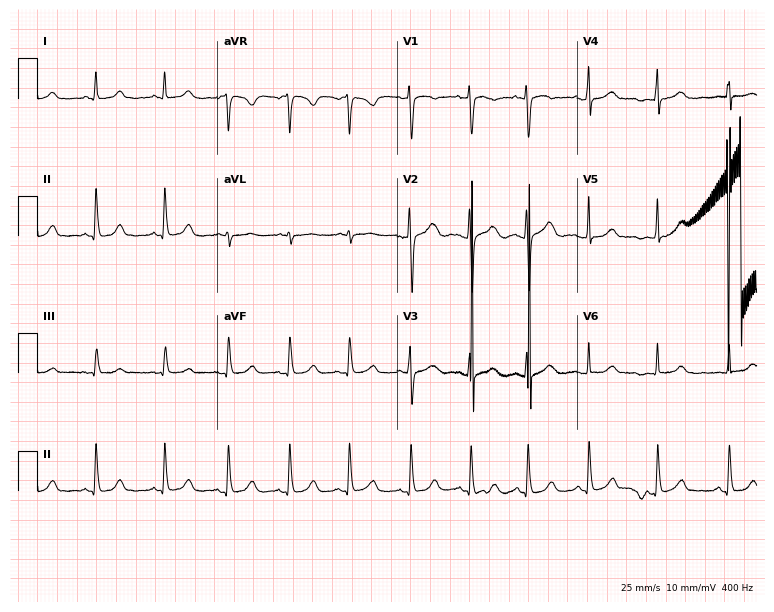
Resting 12-lead electrocardiogram. Patient: a 27-year-old woman. Read as a normal ECG.